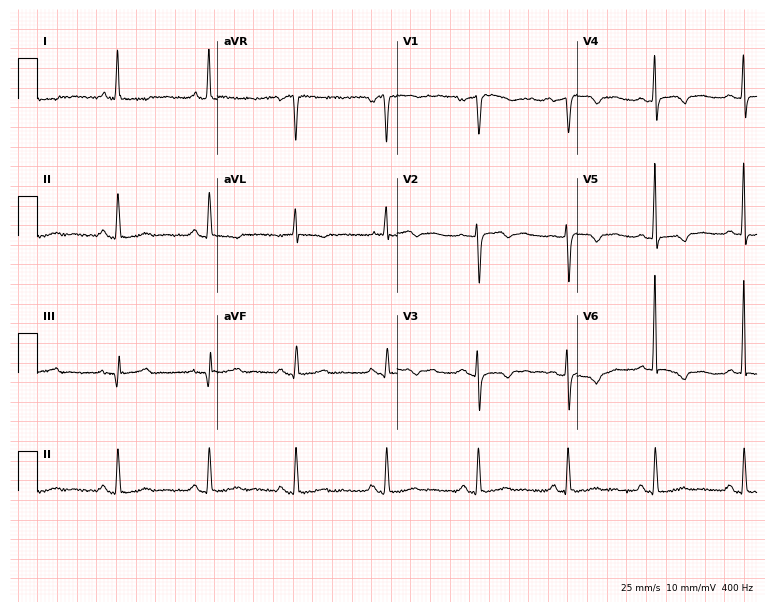
Standard 12-lead ECG recorded from a woman, 60 years old (7.3-second recording at 400 Hz). None of these six findings is recorded: first-degree AV block, right bundle branch block, left bundle branch block, sinus bradycardia, atrial fibrillation, sinus tachycardia.